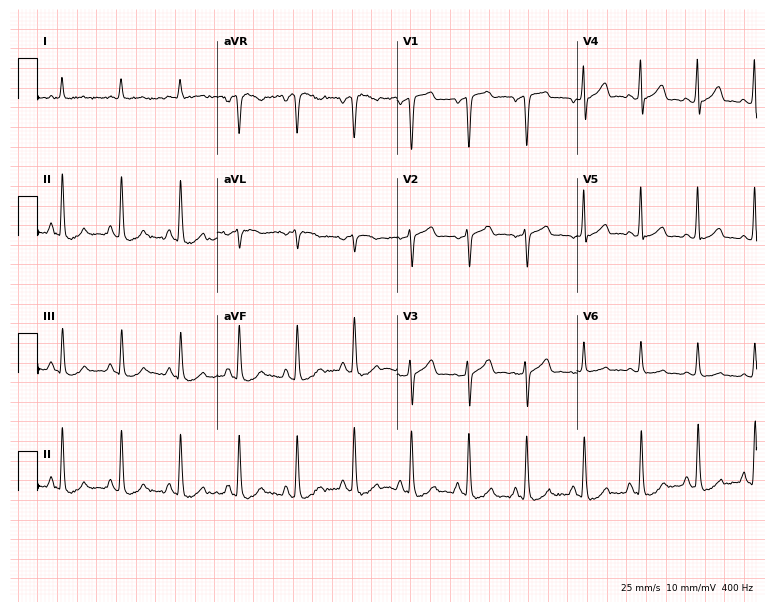
Resting 12-lead electrocardiogram (7.3-second recording at 400 Hz). Patient: a male, 64 years old. The tracing shows sinus tachycardia (a sinus rate of 100 beats per minute or more).